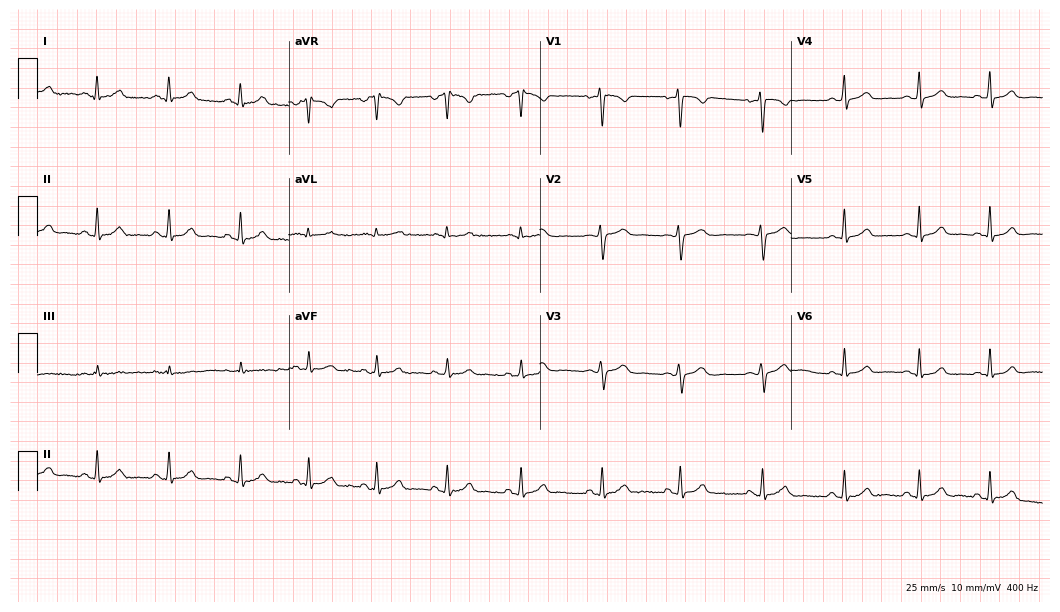
ECG (10.2-second recording at 400 Hz) — a female, 33 years old. Screened for six findings — first-degree AV block, right bundle branch block, left bundle branch block, sinus bradycardia, atrial fibrillation, sinus tachycardia — none is recorded. Other findings, if any, are not listed.